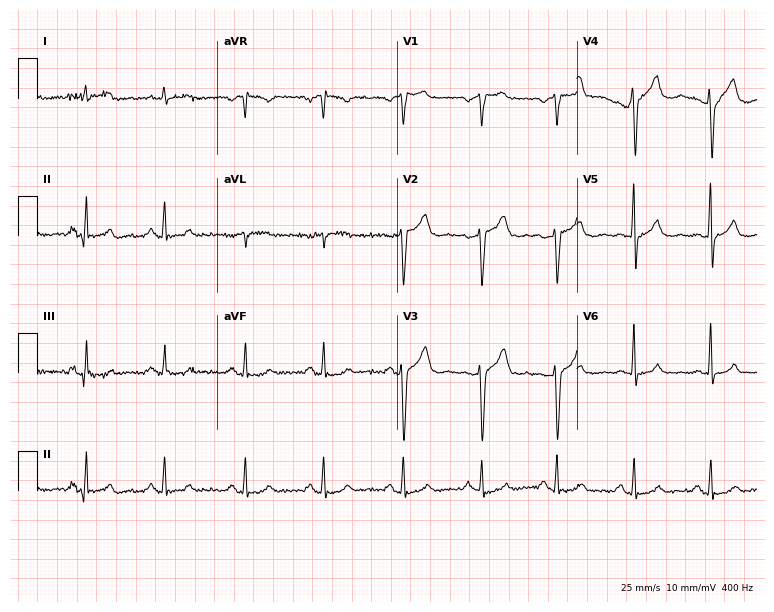
12-lead ECG from a man, 64 years old (7.3-second recording at 400 Hz). Recorded interpretation: within normal limits.